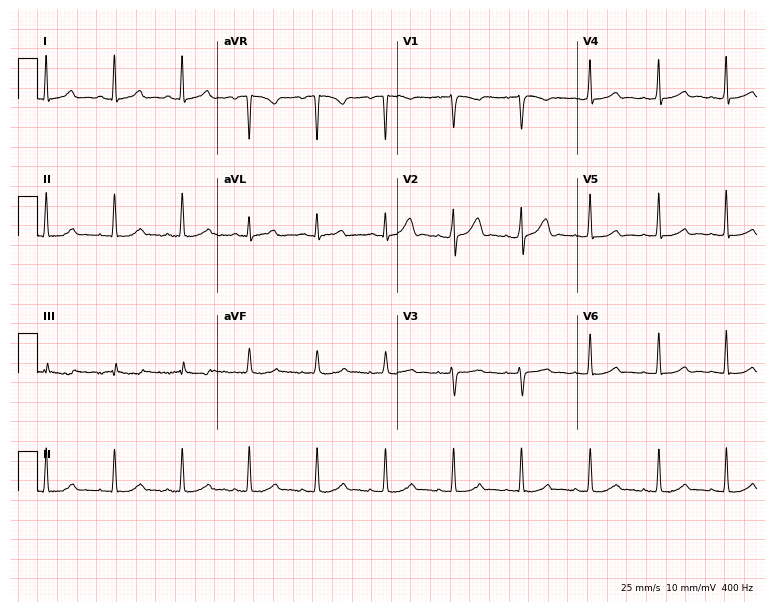
Resting 12-lead electrocardiogram. Patient: a female, 41 years old. Read as a normal ECG.